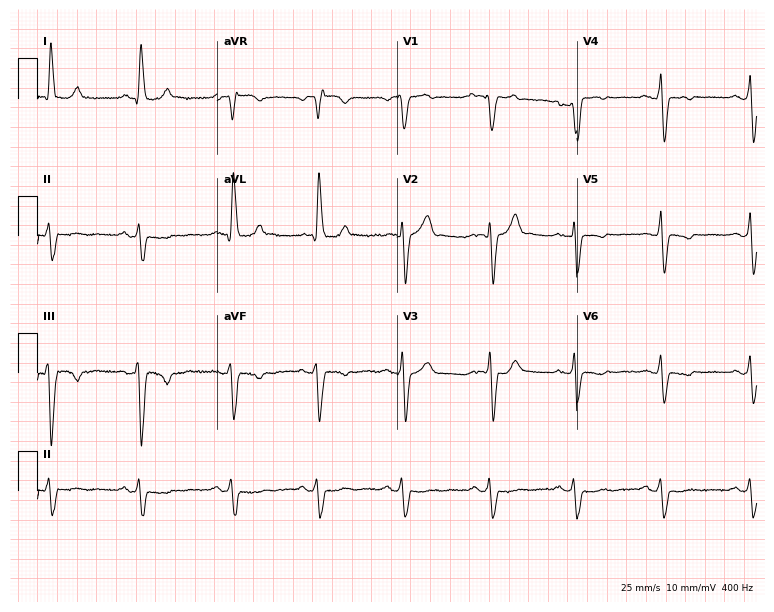
Standard 12-lead ECG recorded from a male, 44 years old. The tracing shows left bundle branch block.